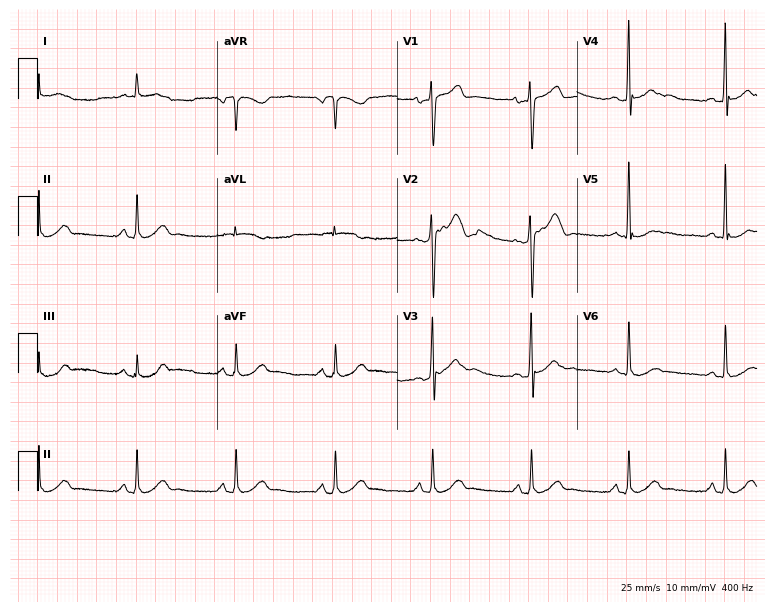
Electrocardiogram (7.3-second recording at 400 Hz), a 45-year-old male. Of the six screened findings (first-degree AV block, right bundle branch block, left bundle branch block, sinus bradycardia, atrial fibrillation, sinus tachycardia), none is recorded. Other findings, if any, are not listed.